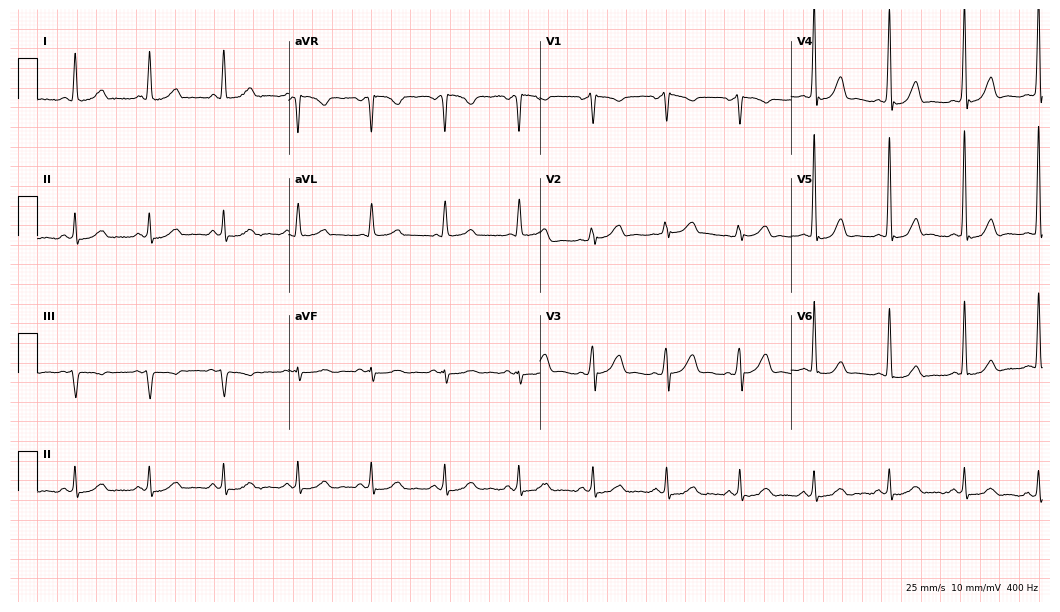
ECG (10.2-second recording at 400 Hz) — a 52-year-old female. Labelled as a normal ECG.